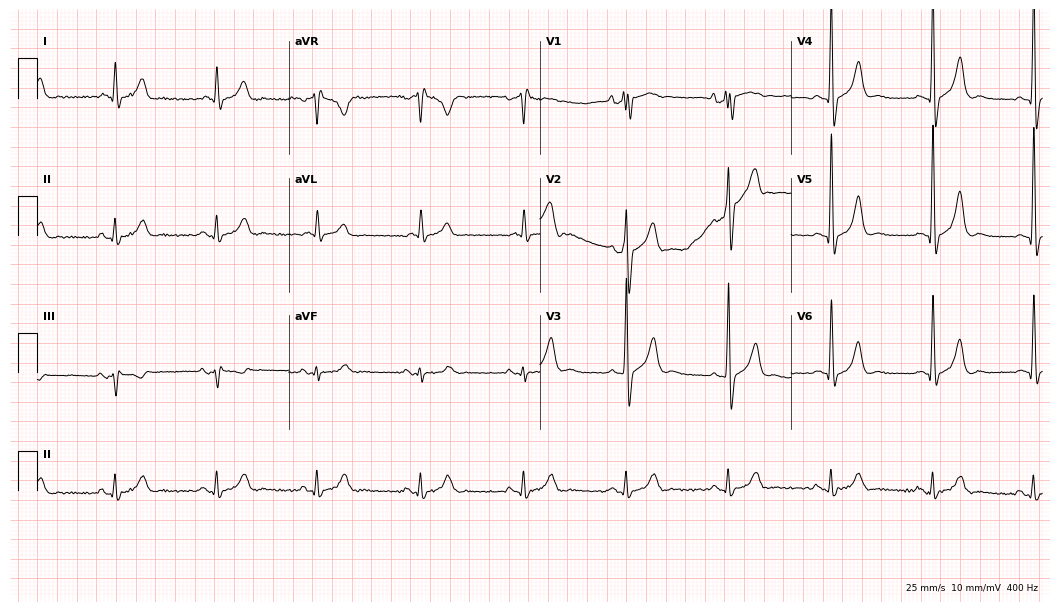
ECG (10.2-second recording at 400 Hz) — a 58-year-old male patient. Screened for six findings — first-degree AV block, right bundle branch block (RBBB), left bundle branch block (LBBB), sinus bradycardia, atrial fibrillation (AF), sinus tachycardia — none is recorded.